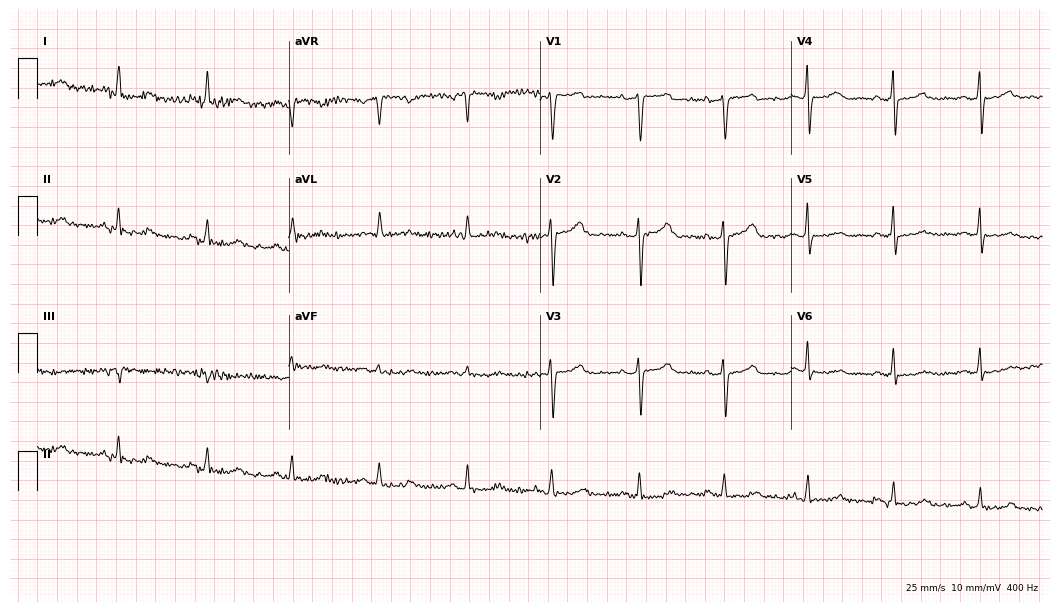
12-lead ECG from a 41-year-old female. No first-degree AV block, right bundle branch block, left bundle branch block, sinus bradycardia, atrial fibrillation or sinus tachycardia recorded for this tracing. Only these six findings were labelled.